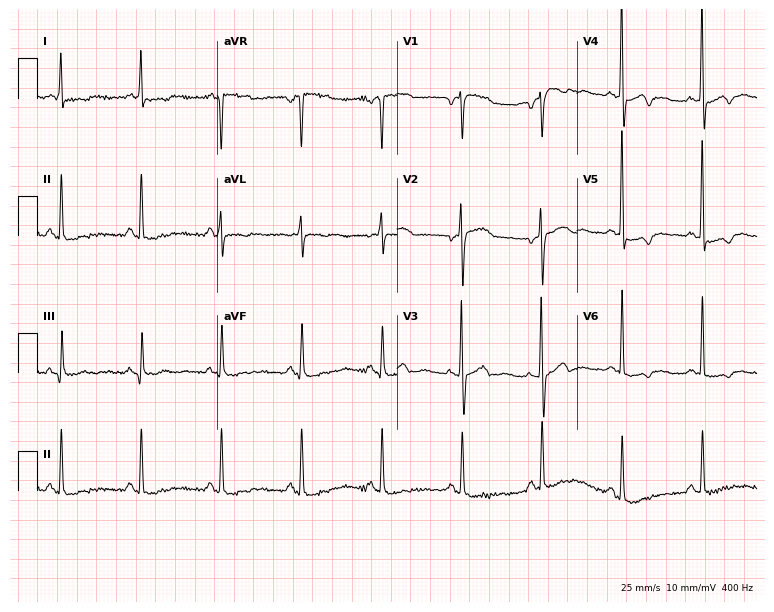
Electrocardiogram (7.3-second recording at 400 Hz), a 71-year-old female. Of the six screened findings (first-degree AV block, right bundle branch block, left bundle branch block, sinus bradycardia, atrial fibrillation, sinus tachycardia), none is recorded.